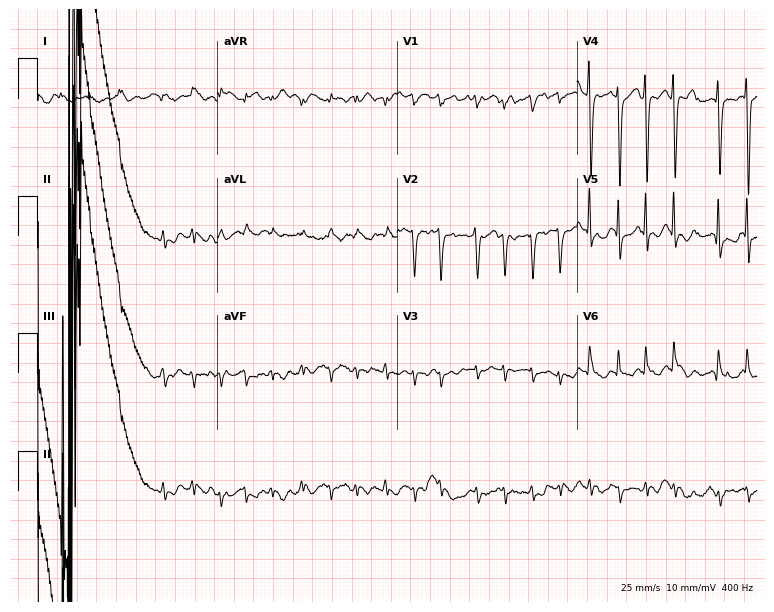
12-lead ECG from a woman, 76 years old. Shows atrial fibrillation, sinus tachycardia (a sinus rate of 100 beats per minute or more).